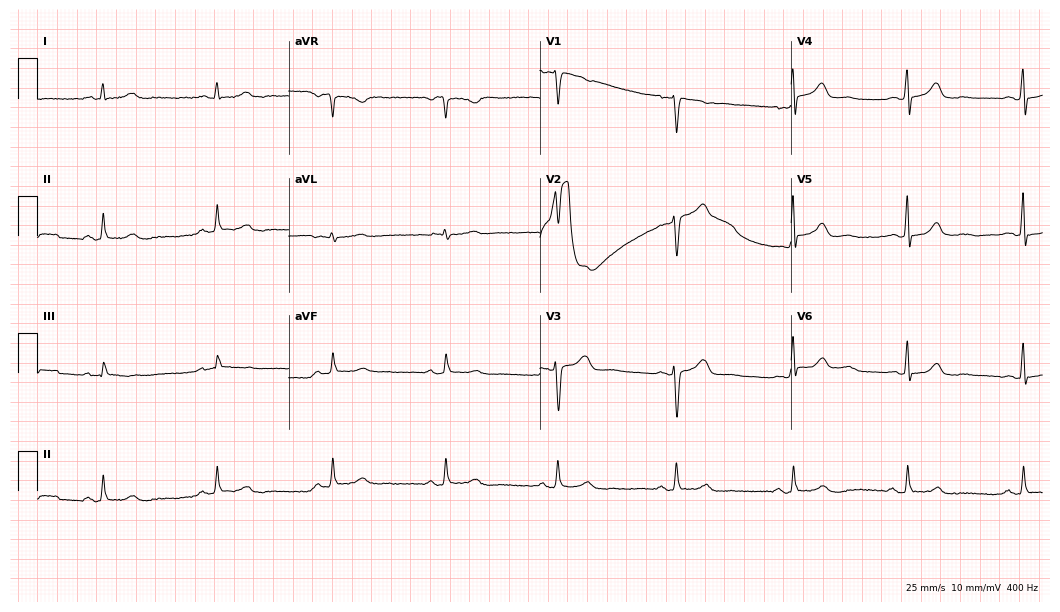
Resting 12-lead electrocardiogram. Patient: a 43-year-old female. Read as a normal ECG.